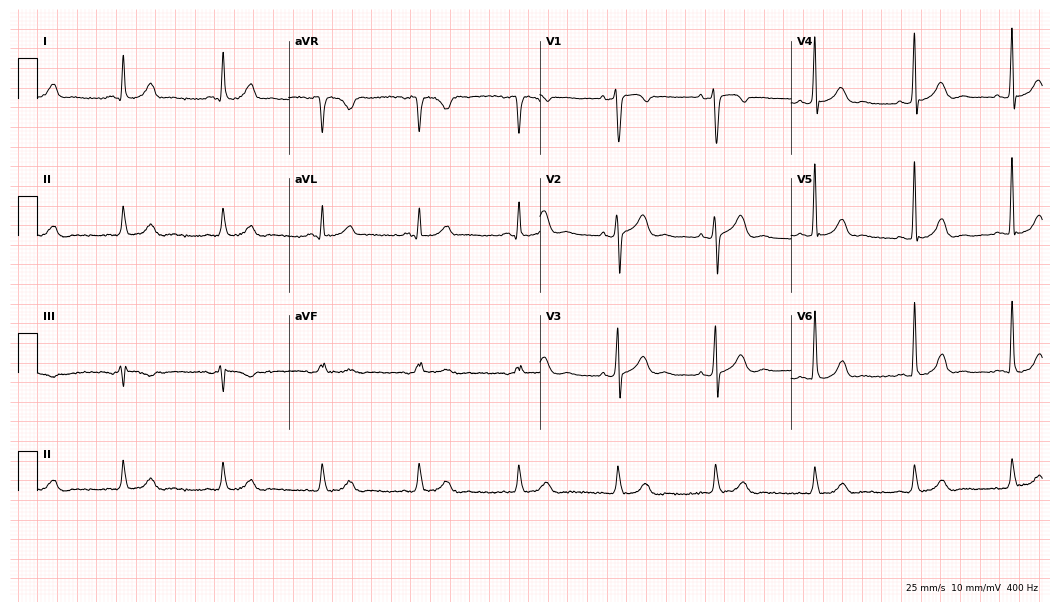
Electrocardiogram (10.2-second recording at 400 Hz), a 63-year-old male. Overall reading on record: normal ECG.